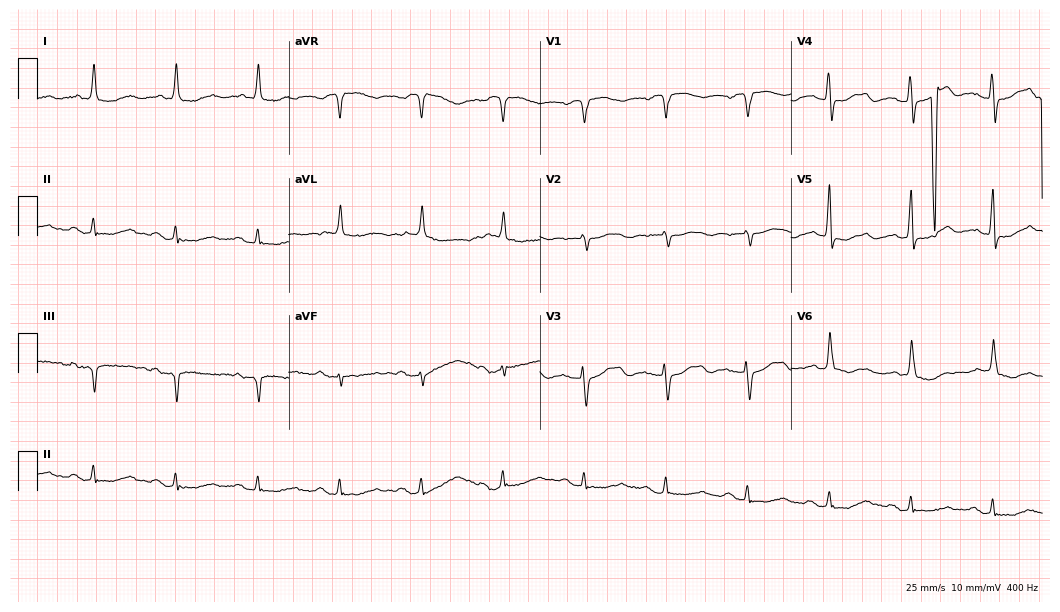
Standard 12-lead ECG recorded from an 84-year-old female (10.2-second recording at 400 Hz). None of these six findings is recorded: first-degree AV block, right bundle branch block, left bundle branch block, sinus bradycardia, atrial fibrillation, sinus tachycardia.